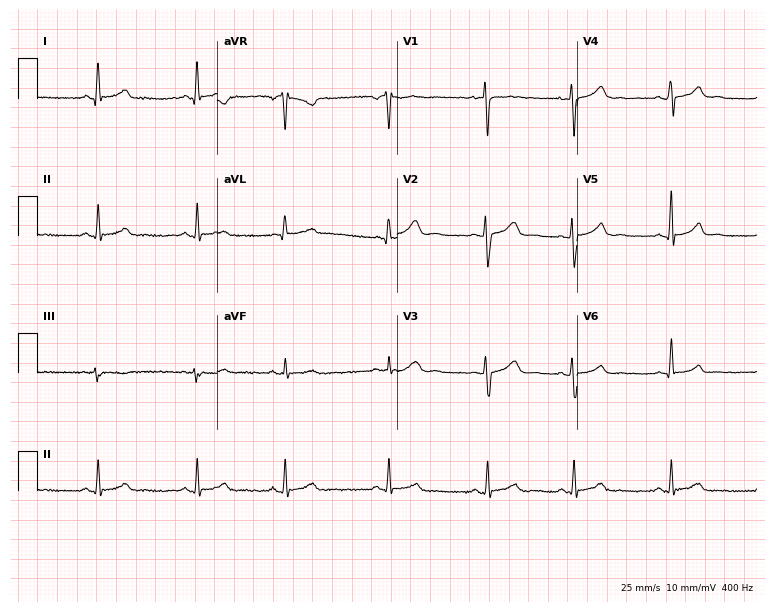
12-lead ECG from a 19-year-old female. Recorded interpretation: within normal limits.